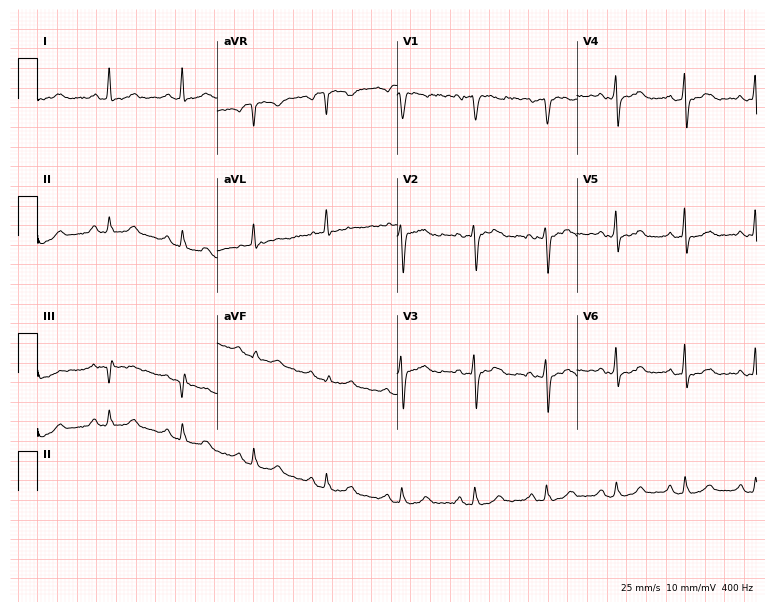
Resting 12-lead electrocardiogram. Patient: a female, 48 years old. None of these six findings is recorded: first-degree AV block, right bundle branch block, left bundle branch block, sinus bradycardia, atrial fibrillation, sinus tachycardia.